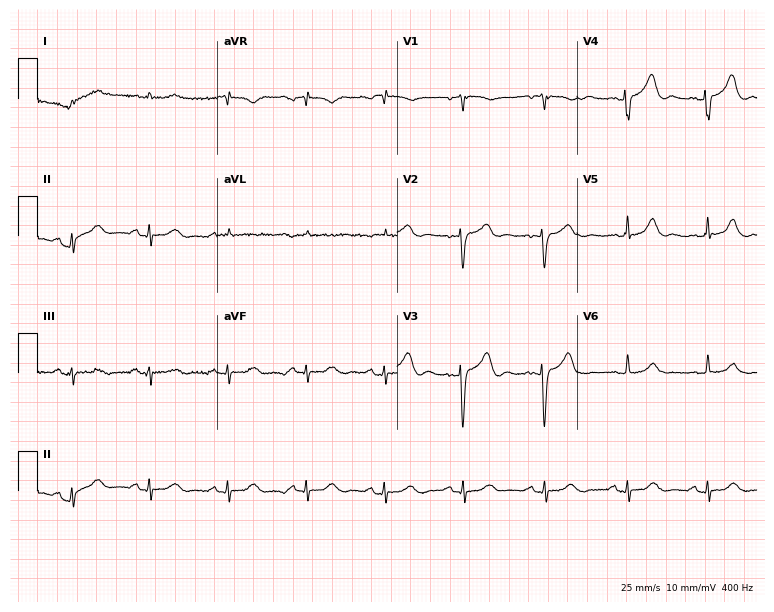
12-lead ECG (7.3-second recording at 400 Hz) from a man, 69 years old. Screened for six findings — first-degree AV block, right bundle branch block, left bundle branch block, sinus bradycardia, atrial fibrillation, sinus tachycardia — none is recorded. Only these six findings were labelled.